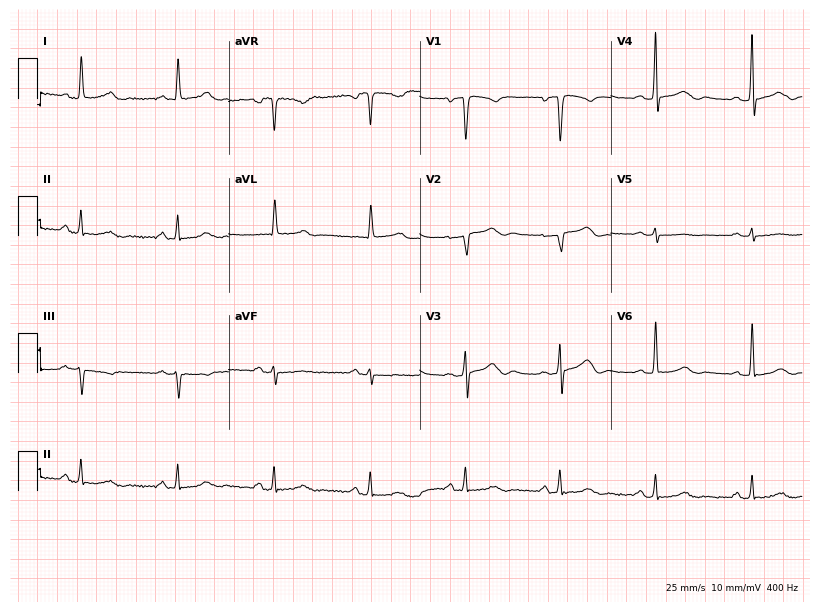
Standard 12-lead ECG recorded from a female patient, 57 years old. Read as a normal ECG.